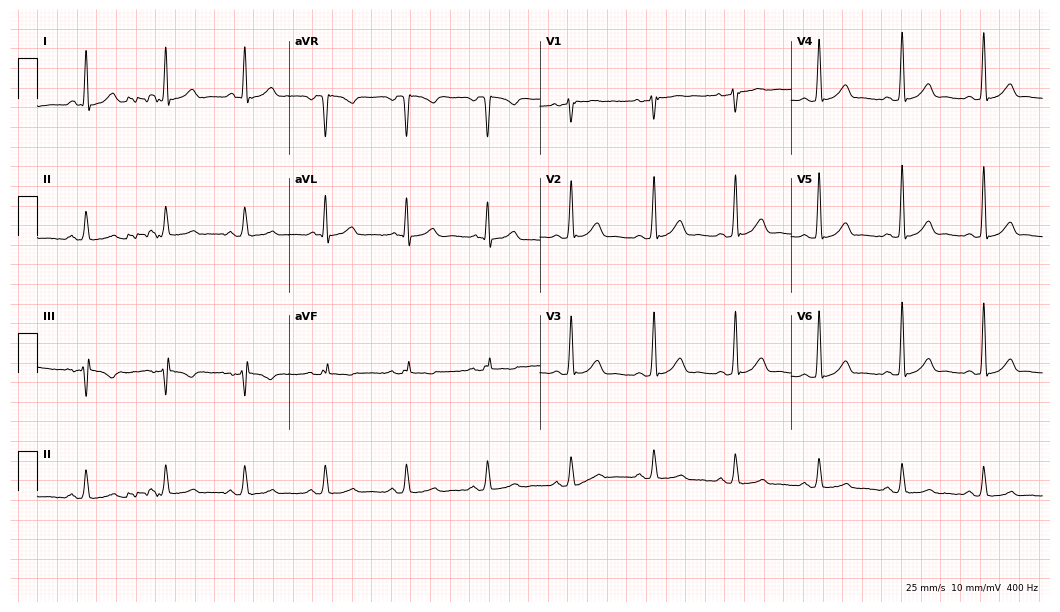
Resting 12-lead electrocardiogram. Patient: a 36-year-old male. Read as a normal ECG.